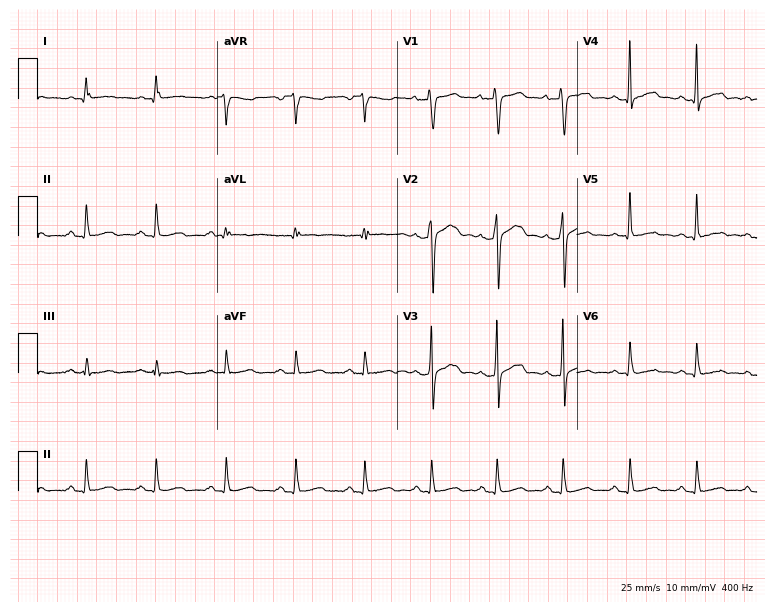
12-lead ECG from a 51-year-old male patient. Screened for six findings — first-degree AV block, right bundle branch block, left bundle branch block, sinus bradycardia, atrial fibrillation, sinus tachycardia — none is recorded.